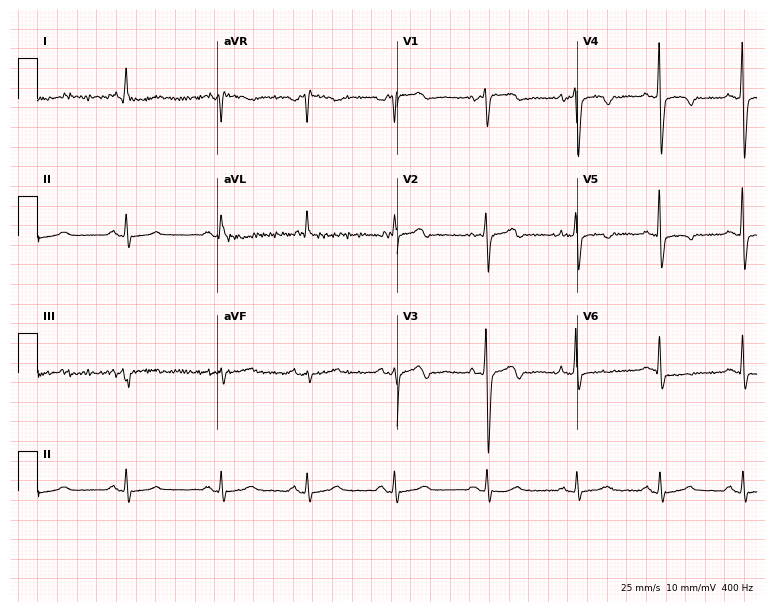
Standard 12-lead ECG recorded from a male, 55 years old. None of these six findings is recorded: first-degree AV block, right bundle branch block (RBBB), left bundle branch block (LBBB), sinus bradycardia, atrial fibrillation (AF), sinus tachycardia. Other findings, if any, are not listed.